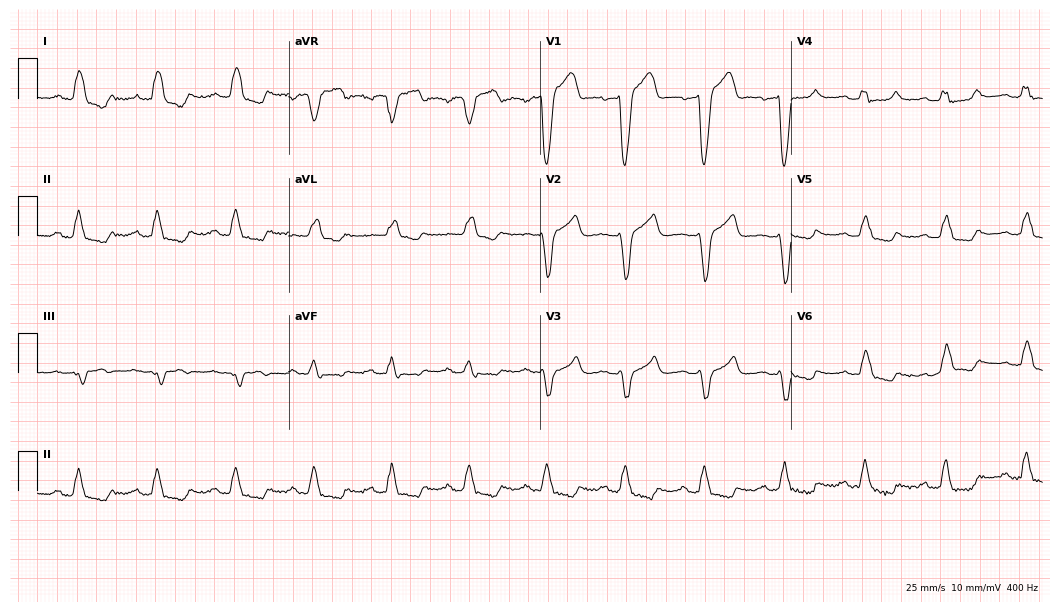
12-lead ECG (10.2-second recording at 400 Hz) from an 82-year-old man. Screened for six findings — first-degree AV block, right bundle branch block, left bundle branch block, sinus bradycardia, atrial fibrillation, sinus tachycardia — none is recorded.